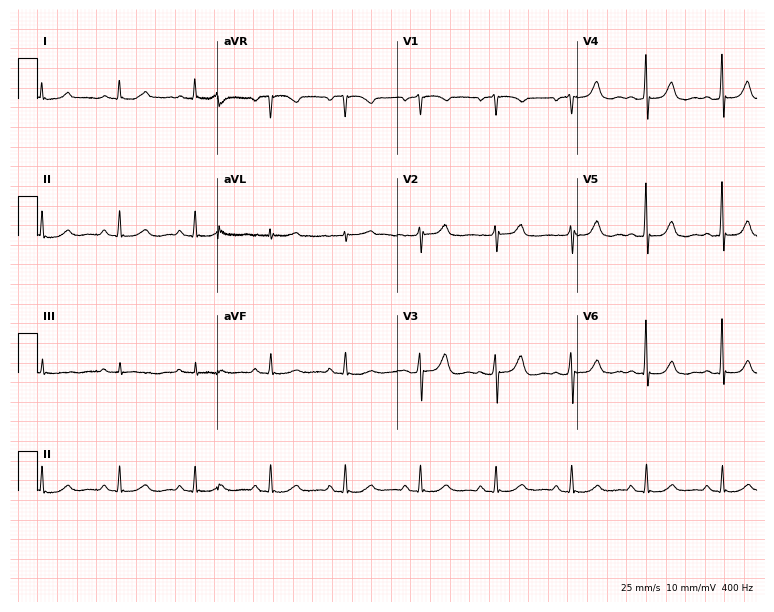
12-lead ECG from a female, 80 years old. Screened for six findings — first-degree AV block, right bundle branch block, left bundle branch block, sinus bradycardia, atrial fibrillation, sinus tachycardia — none is recorded.